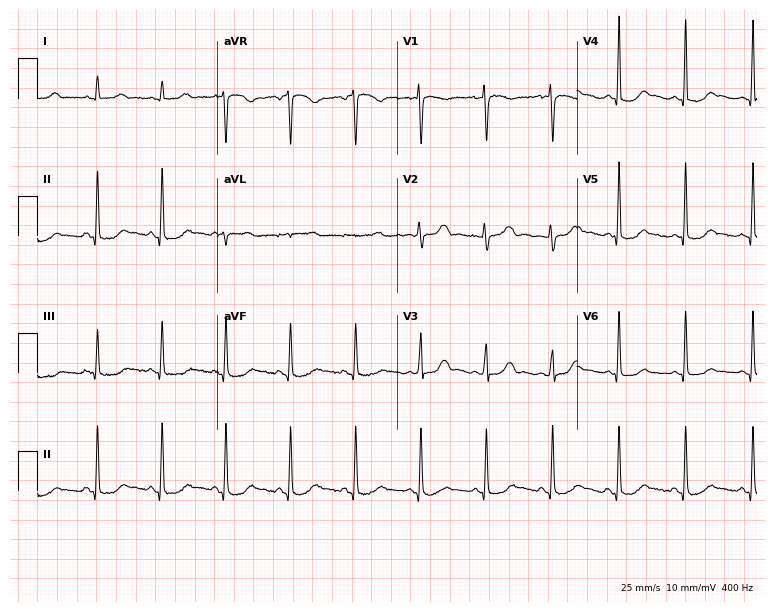
12-lead ECG from a 47-year-old female patient. Screened for six findings — first-degree AV block, right bundle branch block, left bundle branch block, sinus bradycardia, atrial fibrillation, sinus tachycardia — none is recorded.